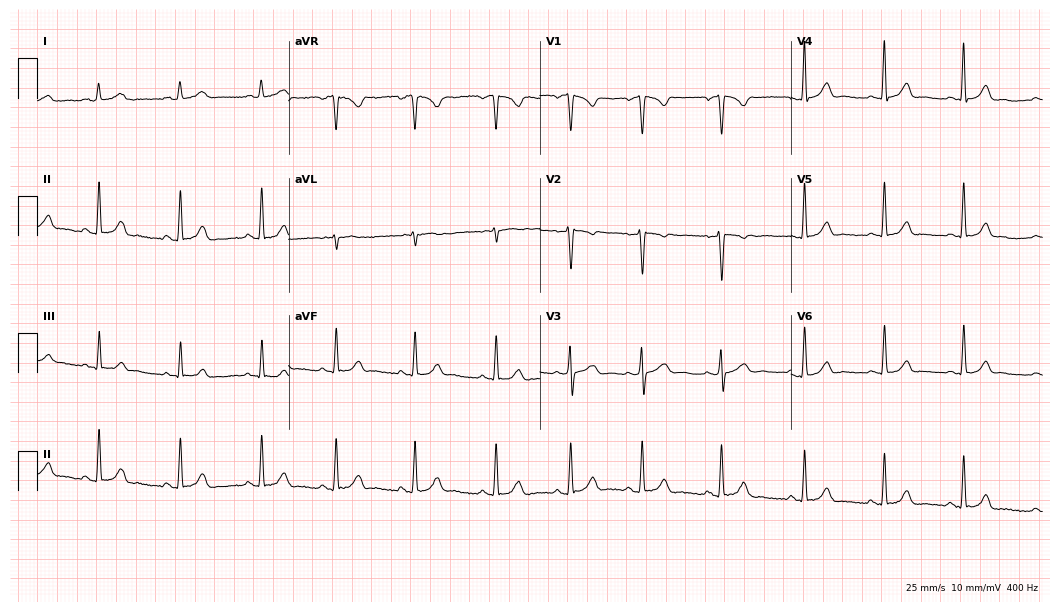
Electrocardiogram (10.2-second recording at 400 Hz), a woman, 17 years old. Of the six screened findings (first-degree AV block, right bundle branch block, left bundle branch block, sinus bradycardia, atrial fibrillation, sinus tachycardia), none is recorded. Other findings, if any, are not listed.